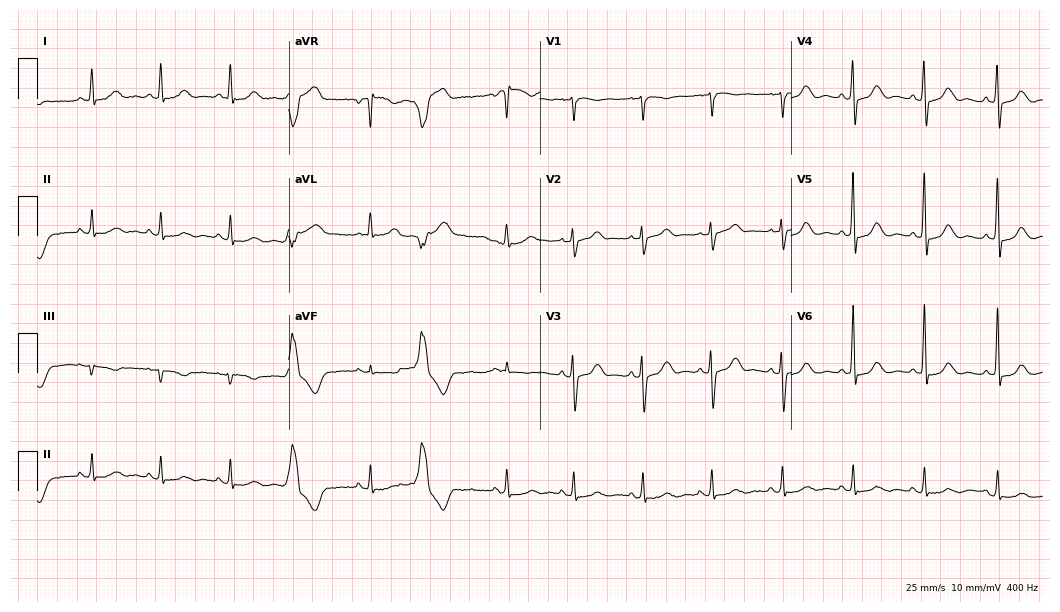
Standard 12-lead ECG recorded from a woman, 73 years old (10.2-second recording at 400 Hz). None of these six findings is recorded: first-degree AV block, right bundle branch block (RBBB), left bundle branch block (LBBB), sinus bradycardia, atrial fibrillation (AF), sinus tachycardia.